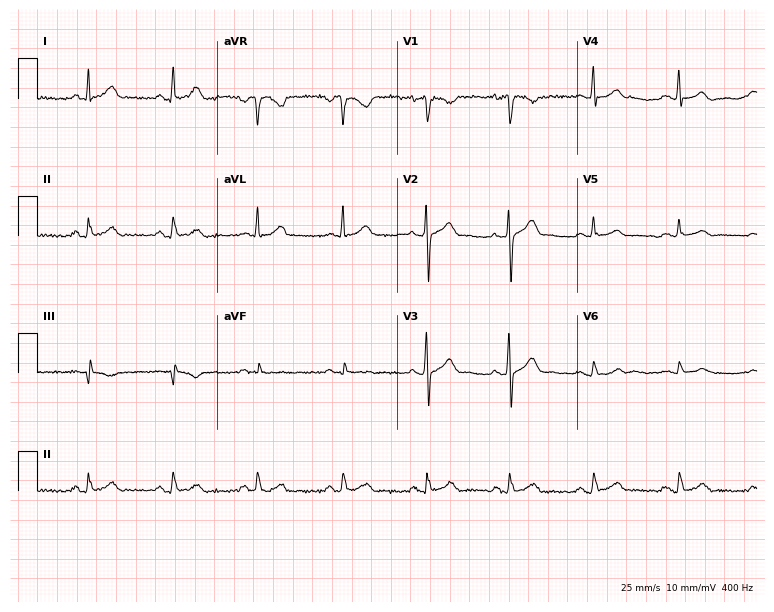
ECG — a male, 41 years old. Labelled as a normal ECG.